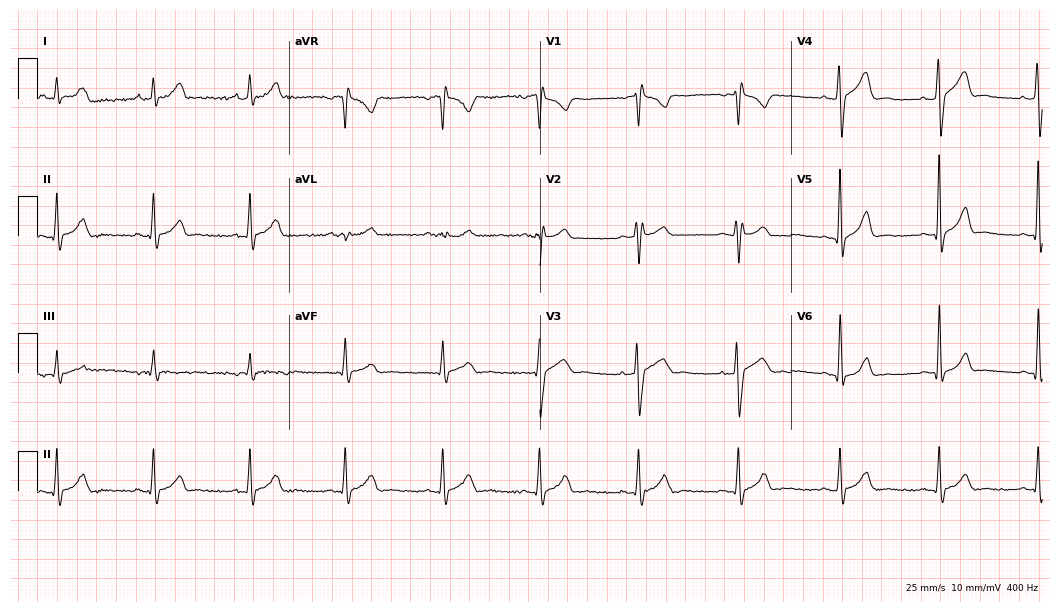
12-lead ECG from a male patient, 33 years old. Screened for six findings — first-degree AV block, right bundle branch block, left bundle branch block, sinus bradycardia, atrial fibrillation, sinus tachycardia — none is recorded. Other findings, if any, are not listed.